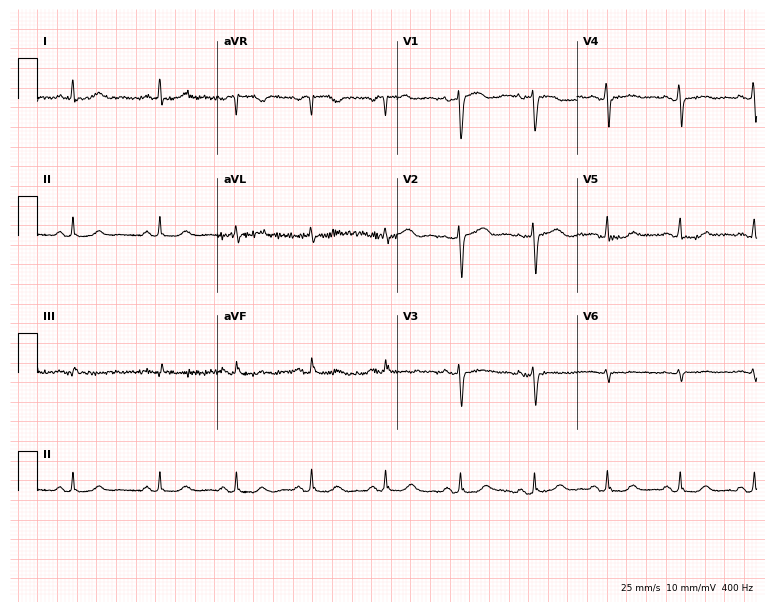
ECG (7.3-second recording at 400 Hz) — a female patient, 53 years old. Labelled as a normal ECG.